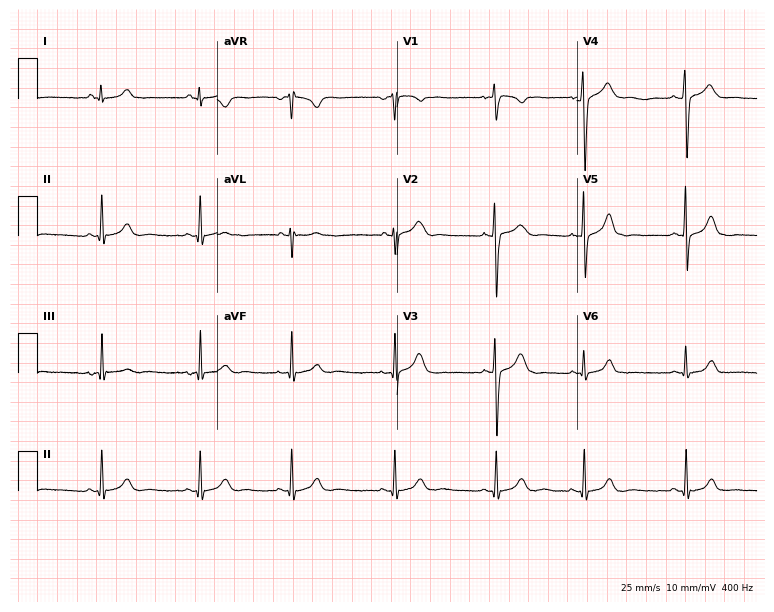
ECG — a 19-year-old woman. Labelled as a normal ECG.